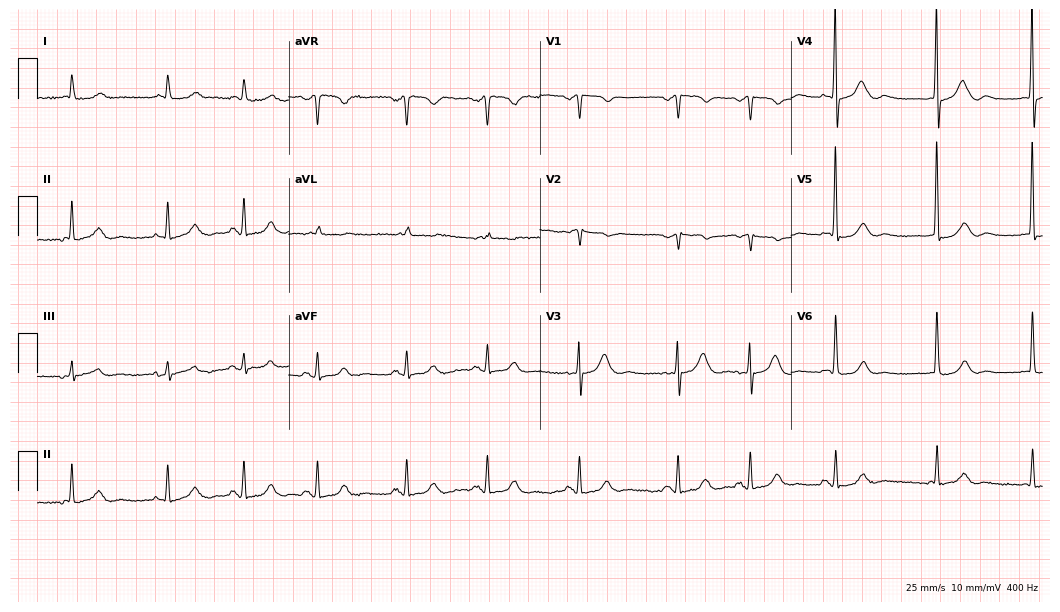
Standard 12-lead ECG recorded from a female patient, 81 years old (10.2-second recording at 400 Hz). None of these six findings is recorded: first-degree AV block, right bundle branch block, left bundle branch block, sinus bradycardia, atrial fibrillation, sinus tachycardia.